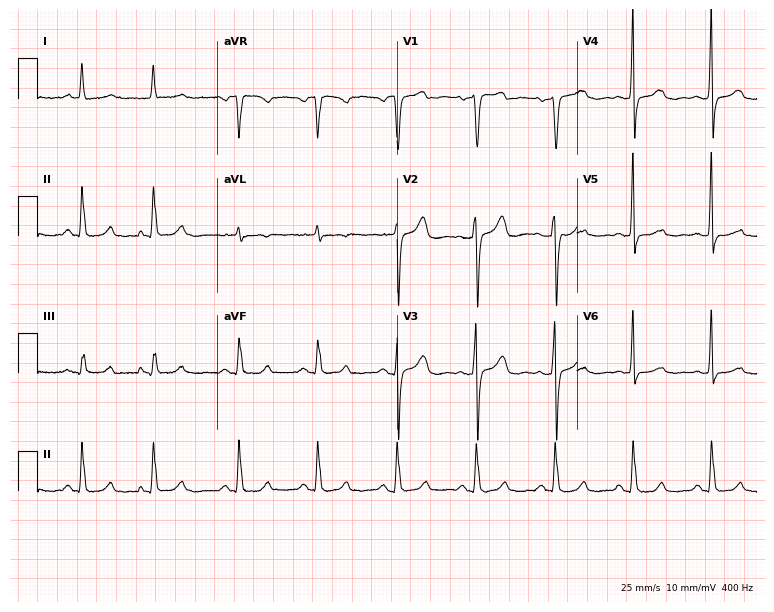
Standard 12-lead ECG recorded from a female, 71 years old. Read as a normal ECG.